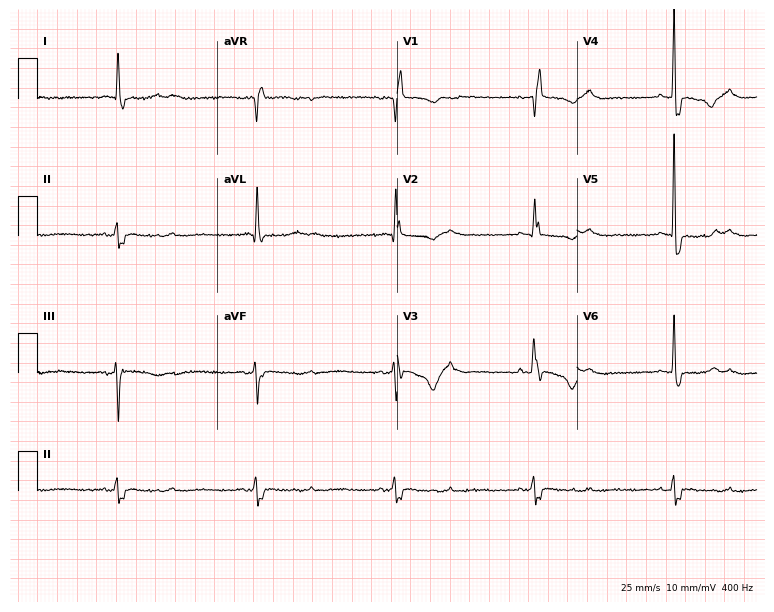
ECG — an 80-year-old female patient. Findings include right bundle branch block (RBBB).